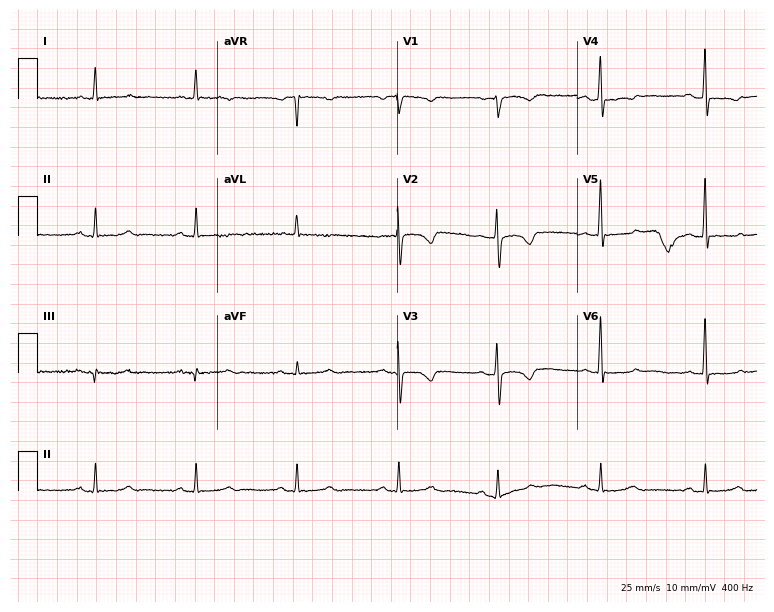
ECG — a 50-year-old female patient. Screened for six findings — first-degree AV block, right bundle branch block, left bundle branch block, sinus bradycardia, atrial fibrillation, sinus tachycardia — none is recorded. Findings outside these six are not listed.